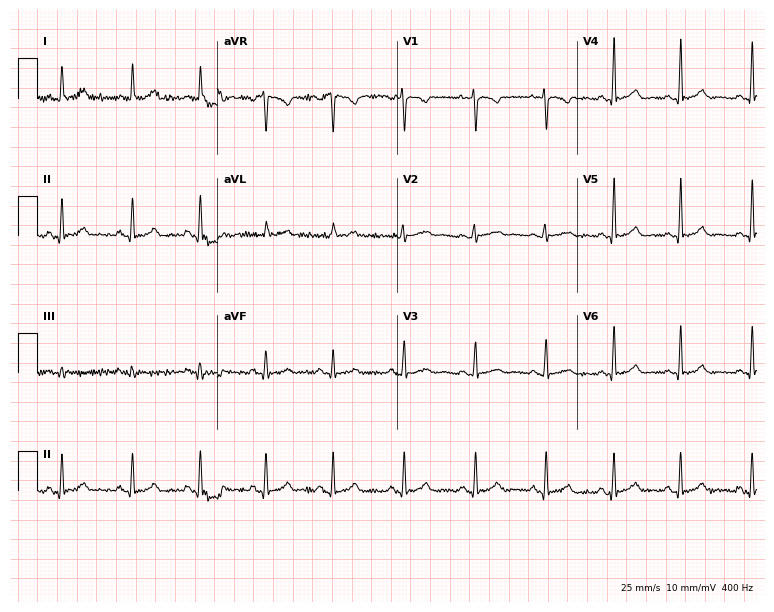
Electrocardiogram (7.3-second recording at 400 Hz), a 29-year-old female patient. Of the six screened findings (first-degree AV block, right bundle branch block (RBBB), left bundle branch block (LBBB), sinus bradycardia, atrial fibrillation (AF), sinus tachycardia), none is recorded. Findings outside these six are not listed.